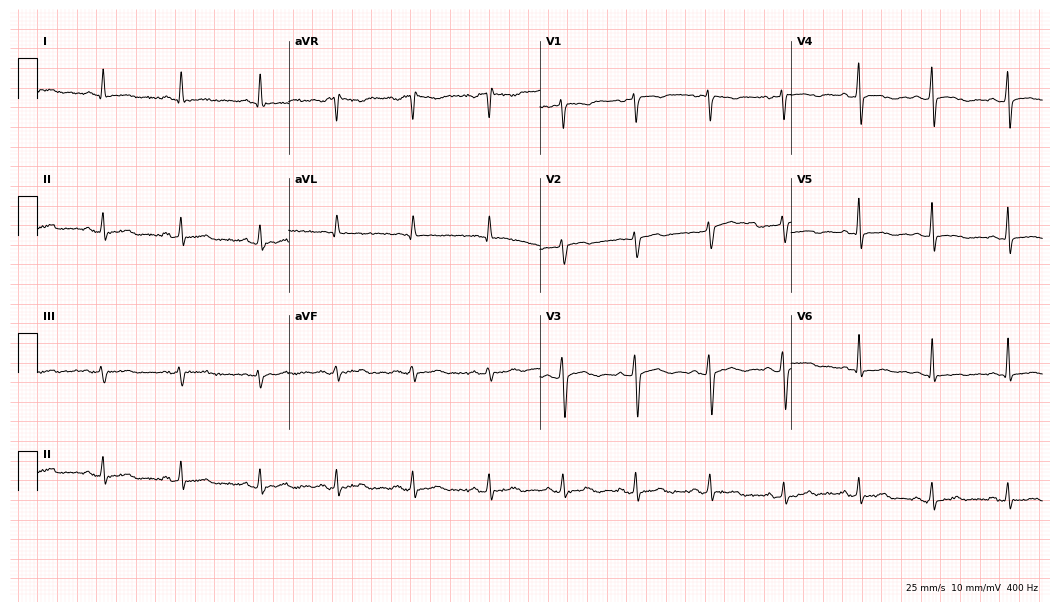
12-lead ECG from a man, 32 years old. Recorded interpretation: within normal limits.